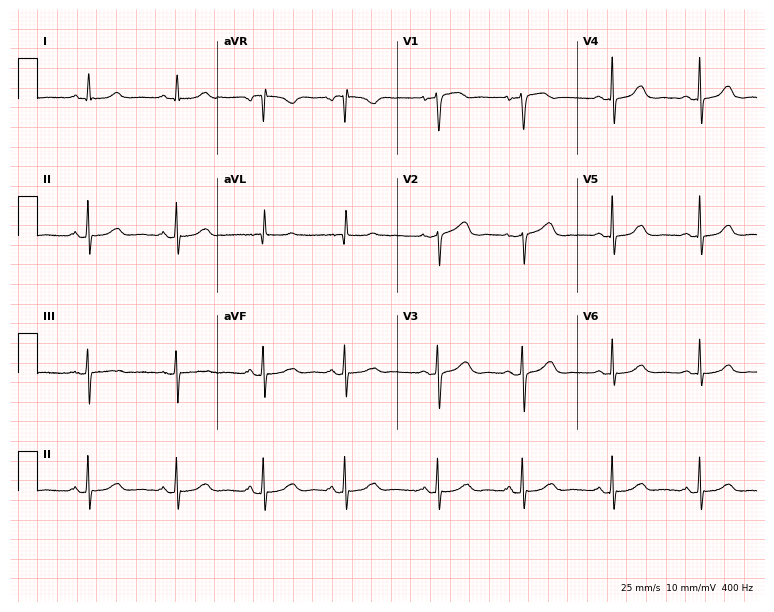
Resting 12-lead electrocardiogram (7.3-second recording at 400 Hz). Patient: a woman, 77 years old. Read as a normal ECG.